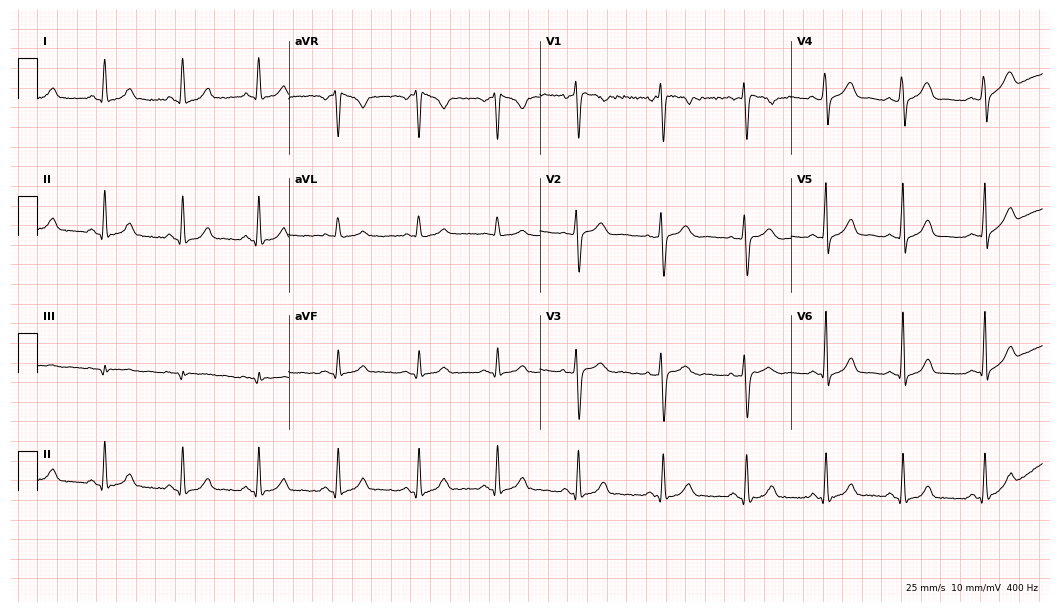
ECG (10.2-second recording at 400 Hz) — a female patient, 40 years old. Labelled as a normal ECG.